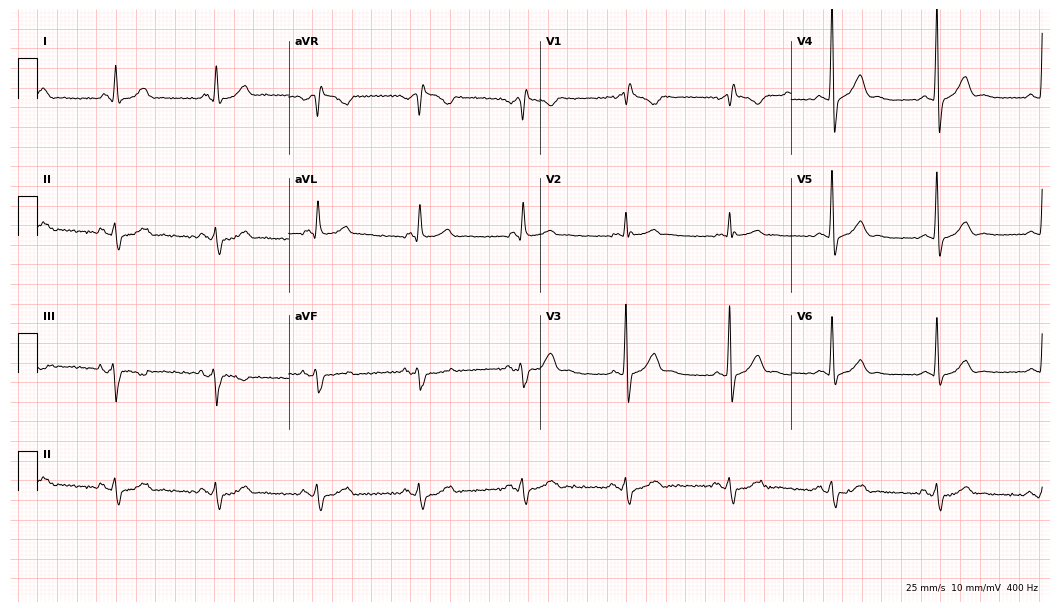
ECG — a 62-year-old male. Findings include right bundle branch block (RBBB).